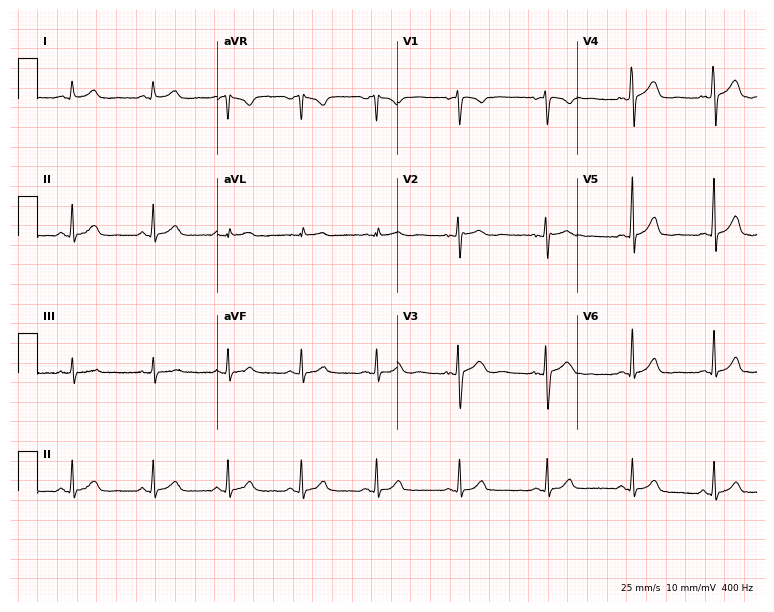
Standard 12-lead ECG recorded from a female, 27 years old (7.3-second recording at 400 Hz). Read as a normal ECG.